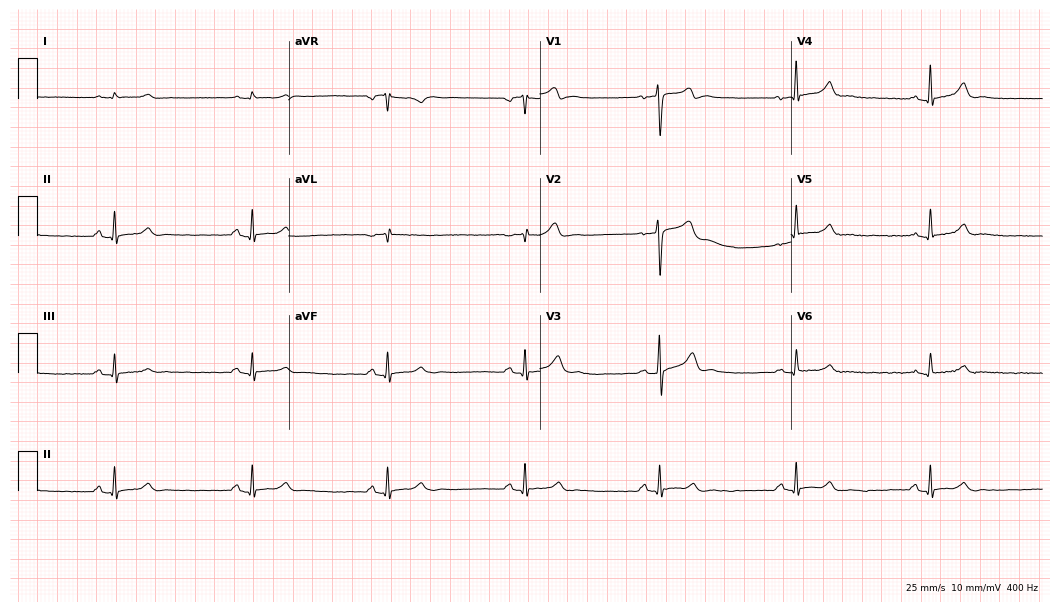
ECG — a man, 55 years old. Screened for six findings — first-degree AV block, right bundle branch block (RBBB), left bundle branch block (LBBB), sinus bradycardia, atrial fibrillation (AF), sinus tachycardia — none is recorded. Only these six findings were labelled.